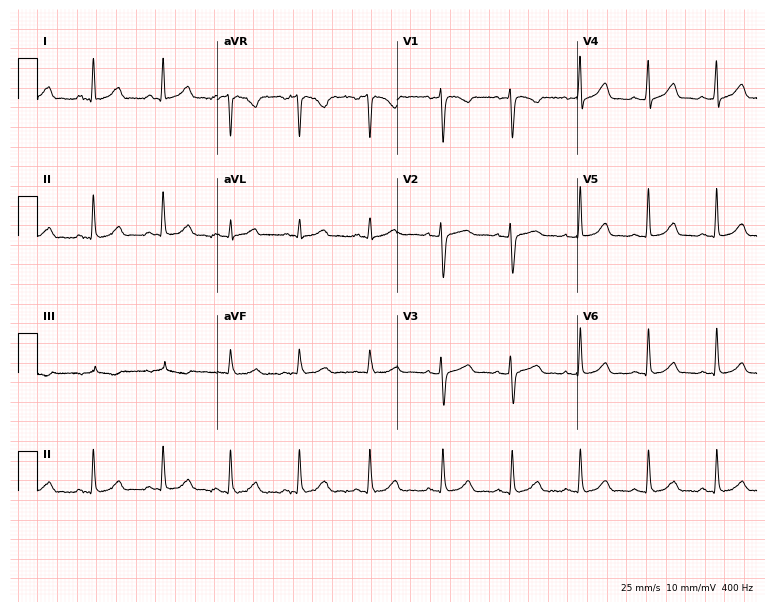
Standard 12-lead ECG recorded from a 22-year-old female. Read as a normal ECG.